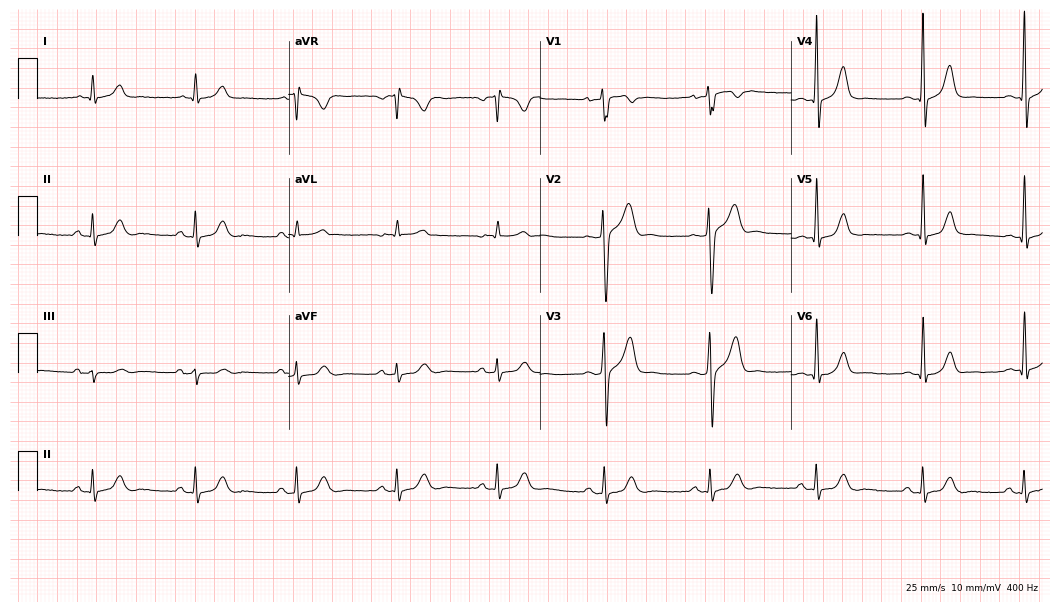
12-lead ECG from a male, 44 years old (10.2-second recording at 400 Hz). Recorded interpretation: within normal limits.